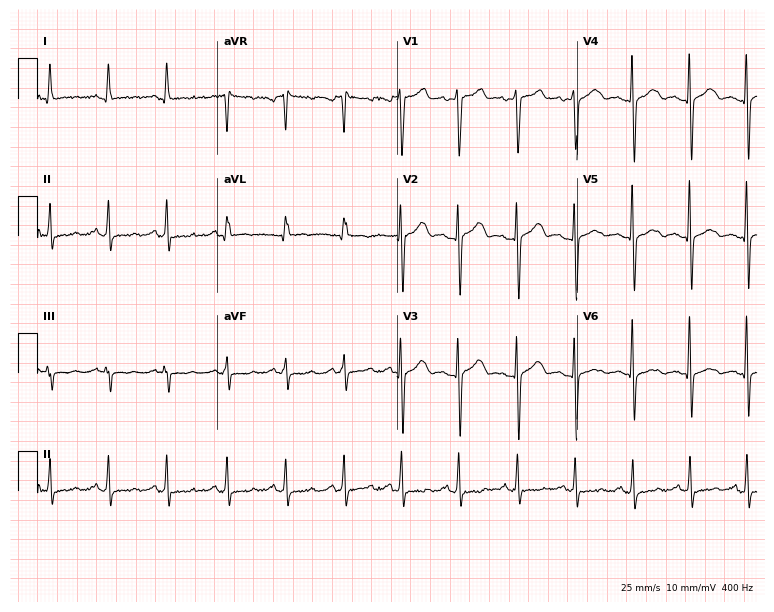
12-lead ECG (7.3-second recording at 400 Hz) from a female, 28 years old. Findings include sinus tachycardia (a sinus rate of 100 beats per minute or more).